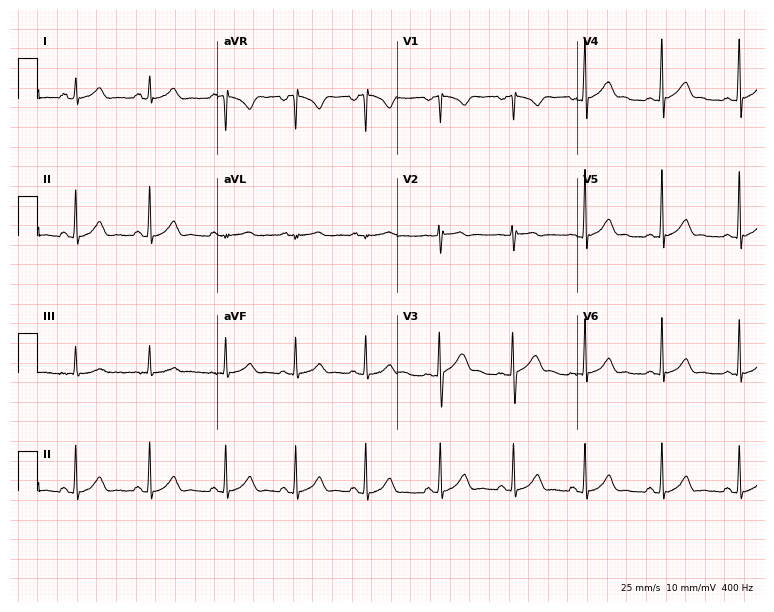
12-lead ECG from a female, 18 years old. Labelled as a normal ECG.